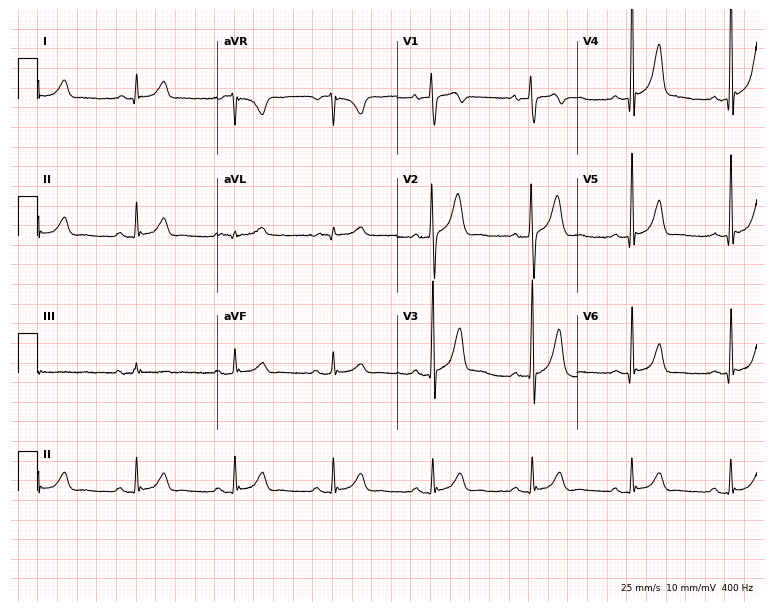
12-lead ECG (7.3-second recording at 400 Hz) from a man, 67 years old. Labelled as a normal ECG.